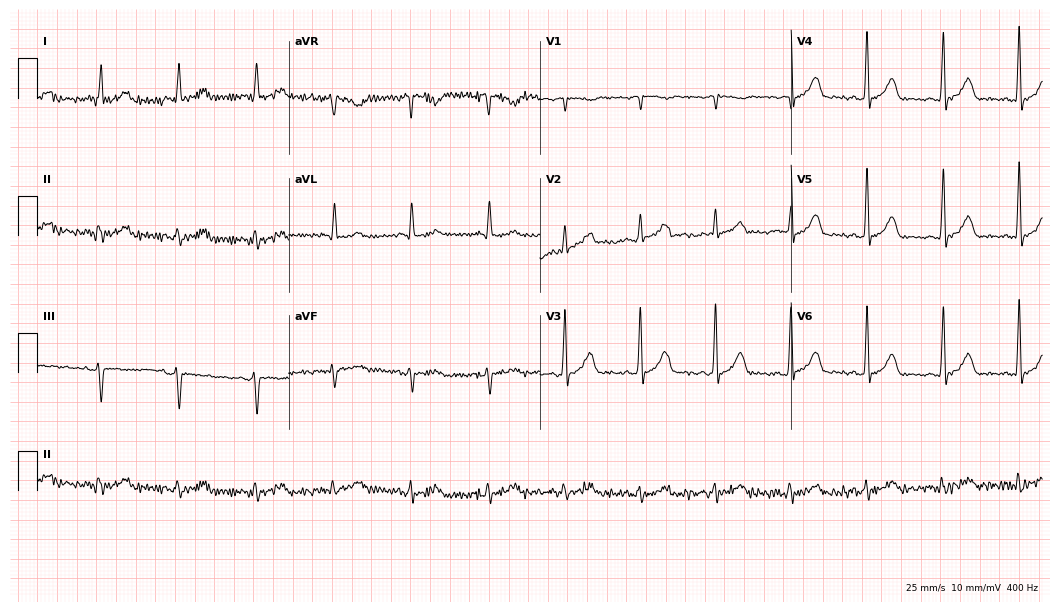
Electrocardiogram, a 79-year-old male patient. Of the six screened findings (first-degree AV block, right bundle branch block, left bundle branch block, sinus bradycardia, atrial fibrillation, sinus tachycardia), none is recorded. Only these six findings were labelled.